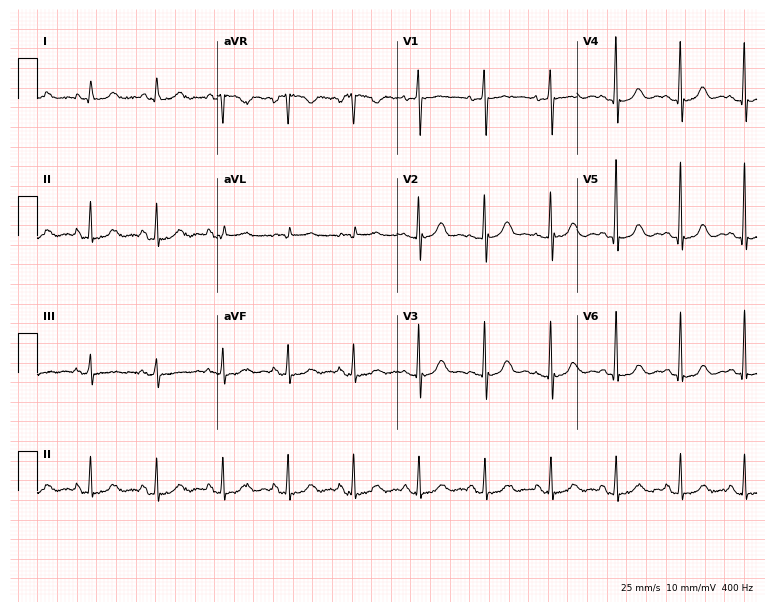
ECG — a 74-year-old female patient. Screened for six findings — first-degree AV block, right bundle branch block, left bundle branch block, sinus bradycardia, atrial fibrillation, sinus tachycardia — none is recorded.